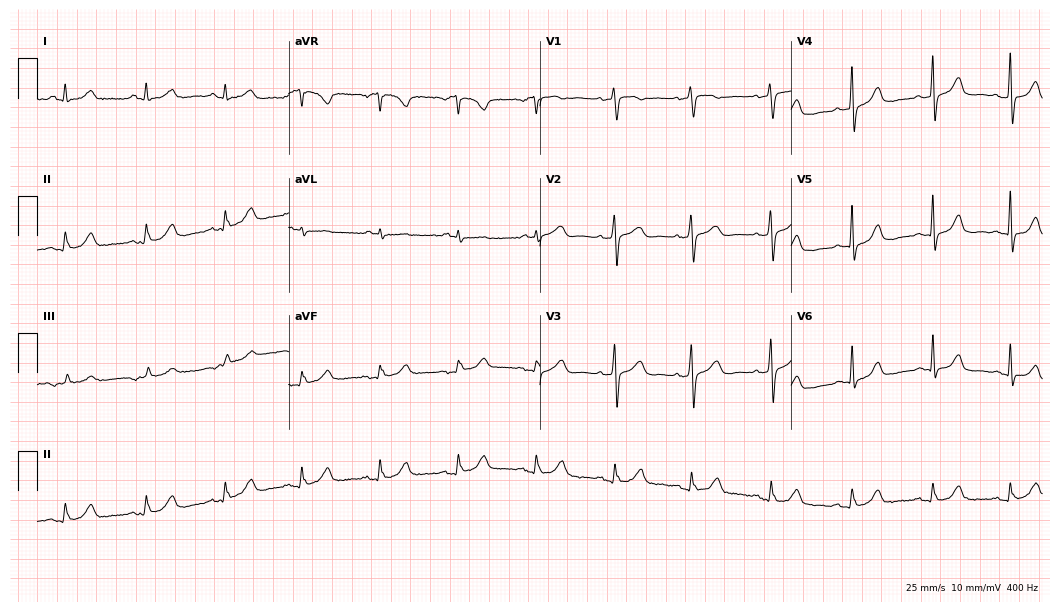
Electrocardiogram (10.2-second recording at 400 Hz), a 56-year-old female patient. Overall reading on record: normal ECG.